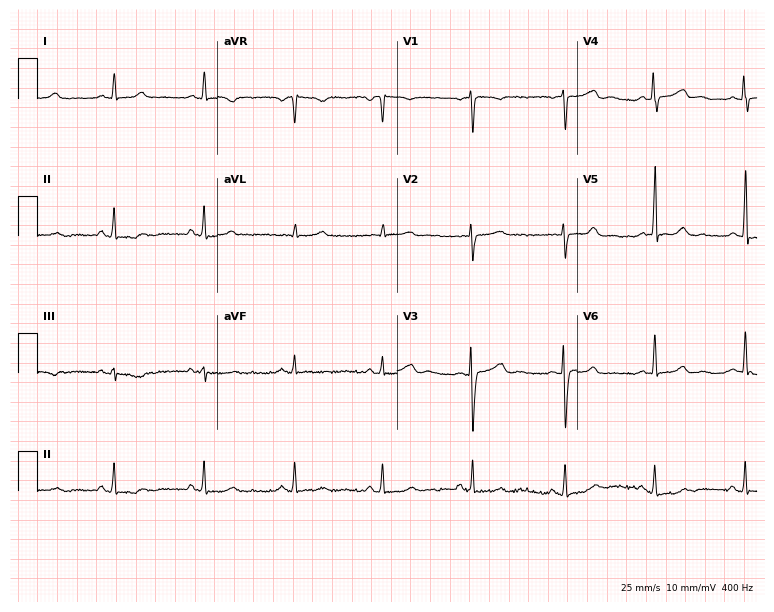
Standard 12-lead ECG recorded from a female patient, 43 years old (7.3-second recording at 400 Hz). Read as a normal ECG.